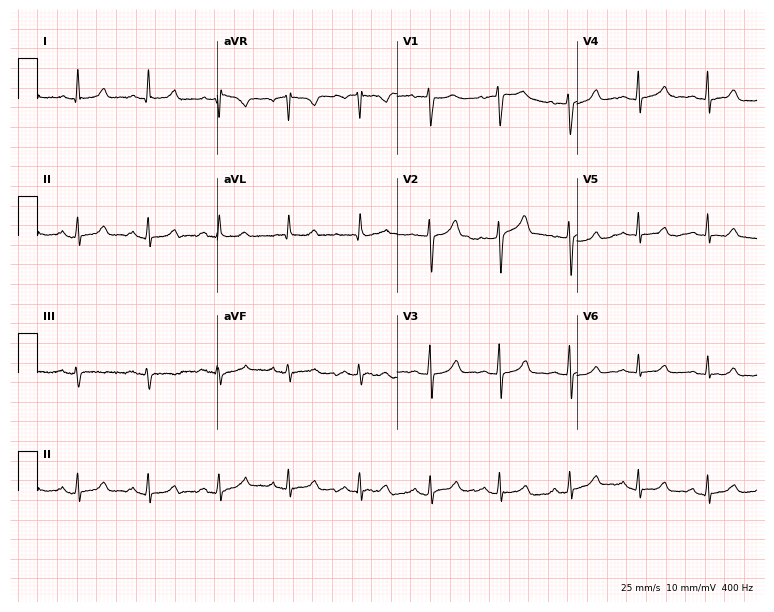
Standard 12-lead ECG recorded from a 28-year-old female (7.3-second recording at 400 Hz). None of these six findings is recorded: first-degree AV block, right bundle branch block, left bundle branch block, sinus bradycardia, atrial fibrillation, sinus tachycardia.